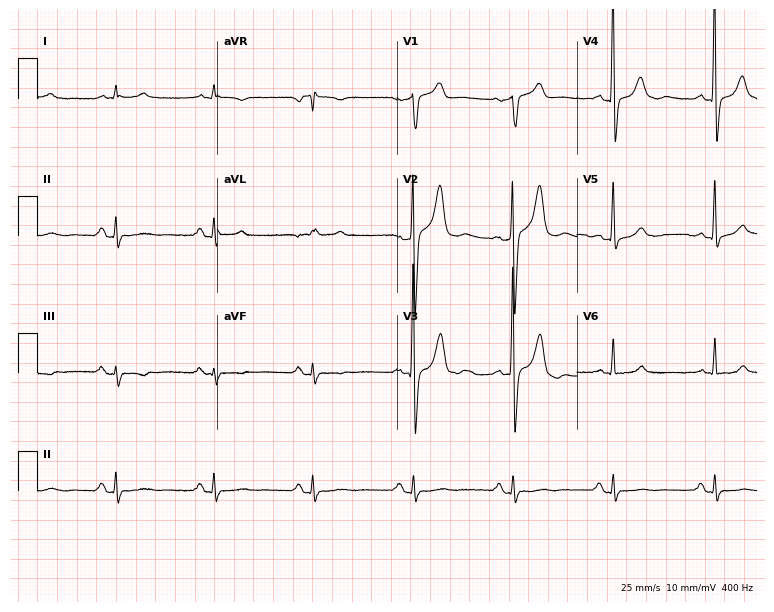
12-lead ECG from a male patient, 83 years old. No first-degree AV block, right bundle branch block (RBBB), left bundle branch block (LBBB), sinus bradycardia, atrial fibrillation (AF) or sinus tachycardia recorded for this tracing.